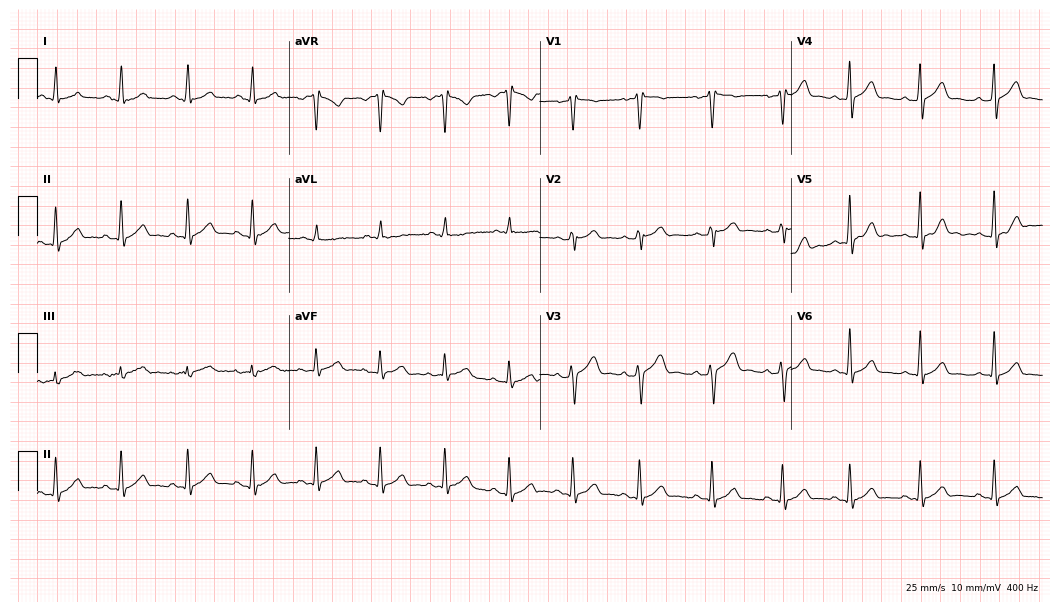
12-lead ECG (10.2-second recording at 400 Hz) from a female patient, 17 years old. Screened for six findings — first-degree AV block, right bundle branch block, left bundle branch block, sinus bradycardia, atrial fibrillation, sinus tachycardia — none is recorded.